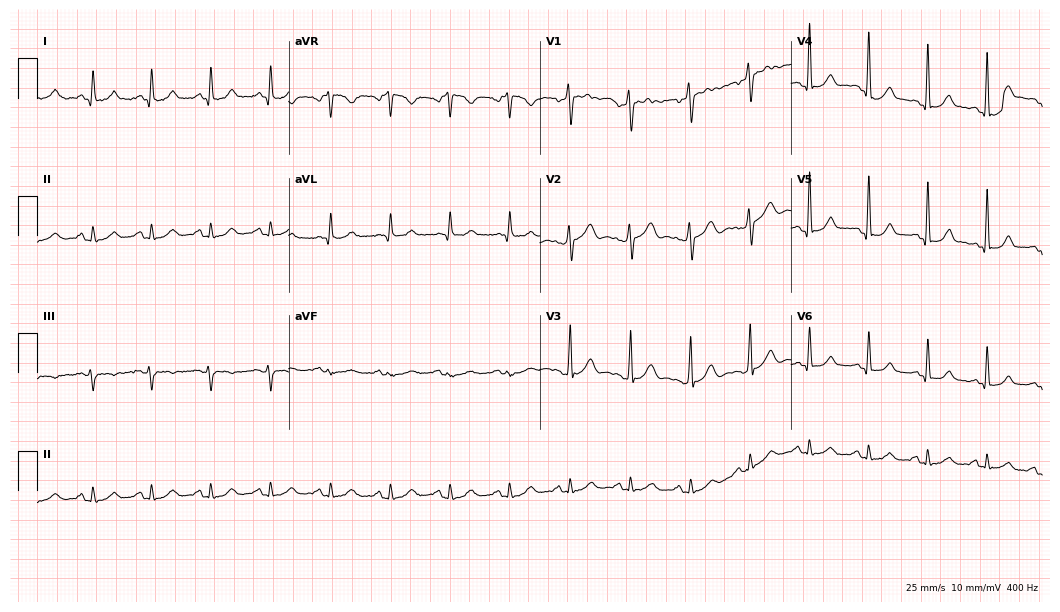
12-lead ECG from a man, 48 years old (10.2-second recording at 400 Hz). Recorded interpretation: within normal limits.